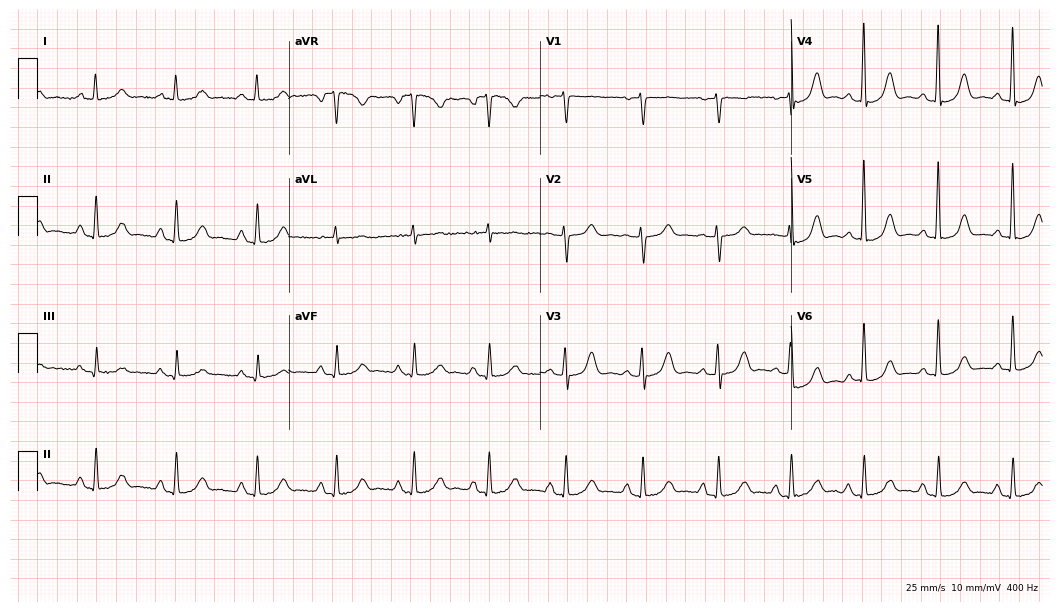
Electrocardiogram (10.2-second recording at 400 Hz), a 63-year-old female patient. Overall reading on record: normal ECG.